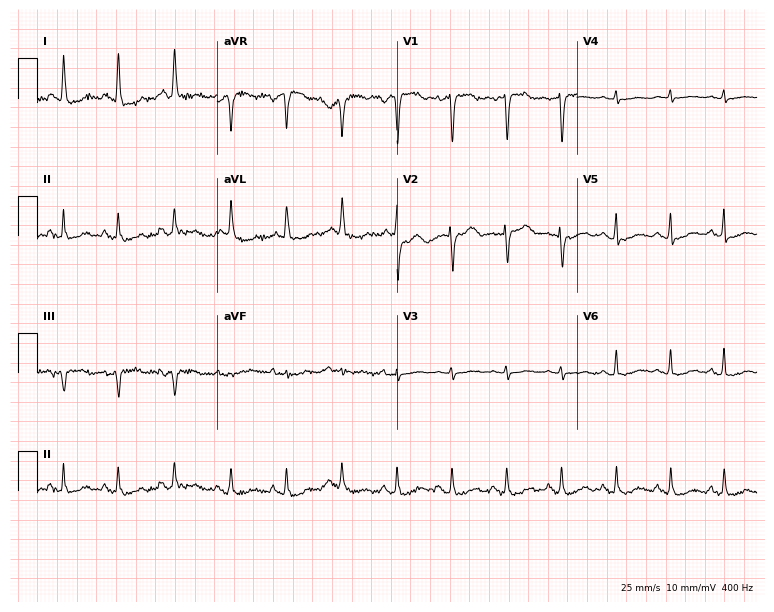
Electrocardiogram (7.3-second recording at 400 Hz), a female, 51 years old. Of the six screened findings (first-degree AV block, right bundle branch block (RBBB), left bundle branch block (LBBB), sinus bradycardia, atrial fibrillation (AF), sinus tachycardia), none is recorded. Findings outside these six are not listed.